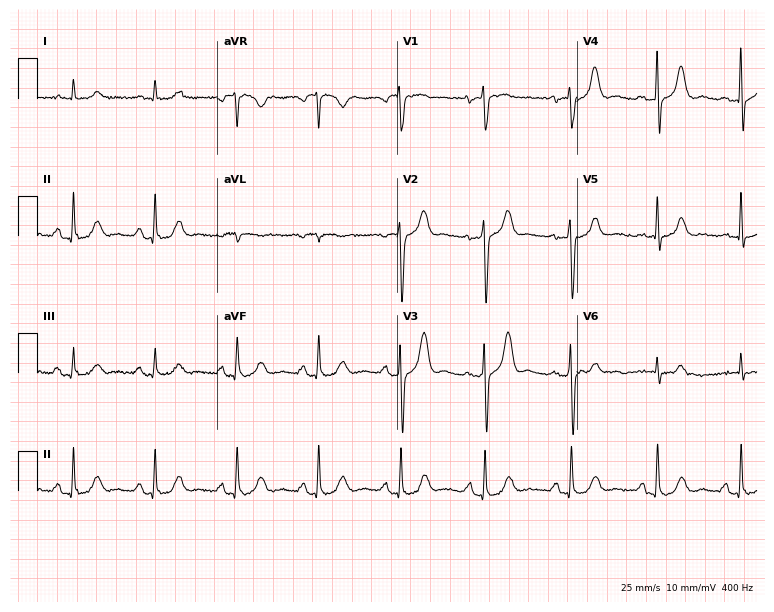
12-lead ECG from a 70-year-old male. Labelled as a normal ECG.